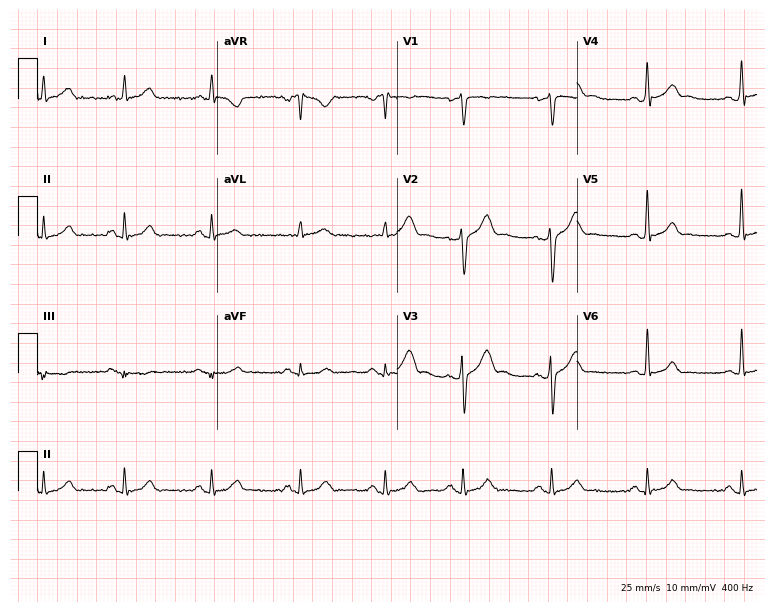
12-lead ECG from a 34-year-old man (7.3-second recording at 400 Hz). No first-degree AV block, right bundle branch block, left bundle branch block, sinus bradycardia, atrial fibrillation or sinus tachycardia recorded for this tracing.